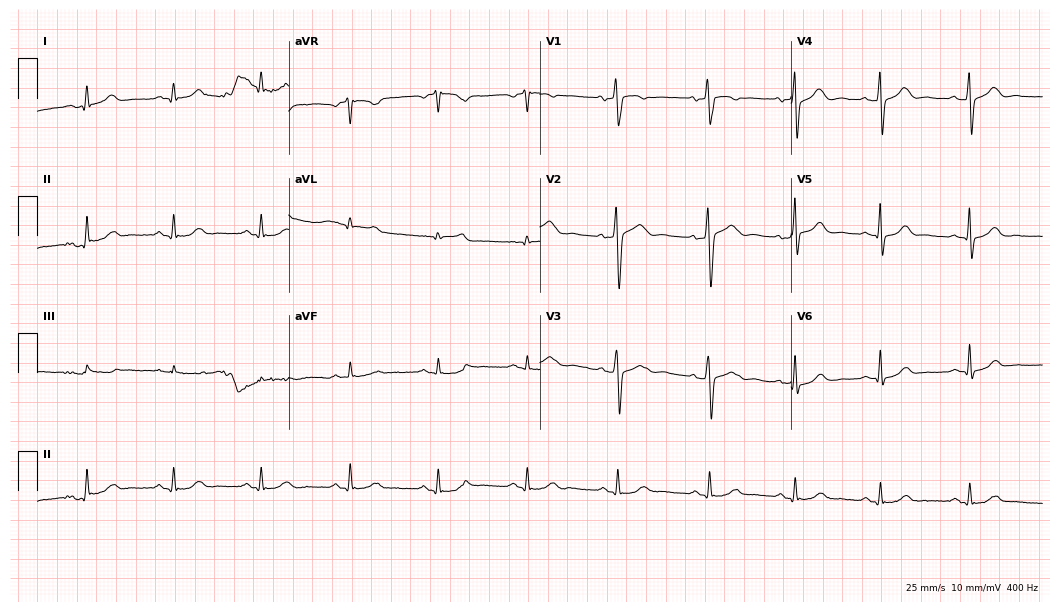
12-lead ECG (10.2-second recording at 400 Hz) from a man, 61 years old. Labelled as a normal ECG.